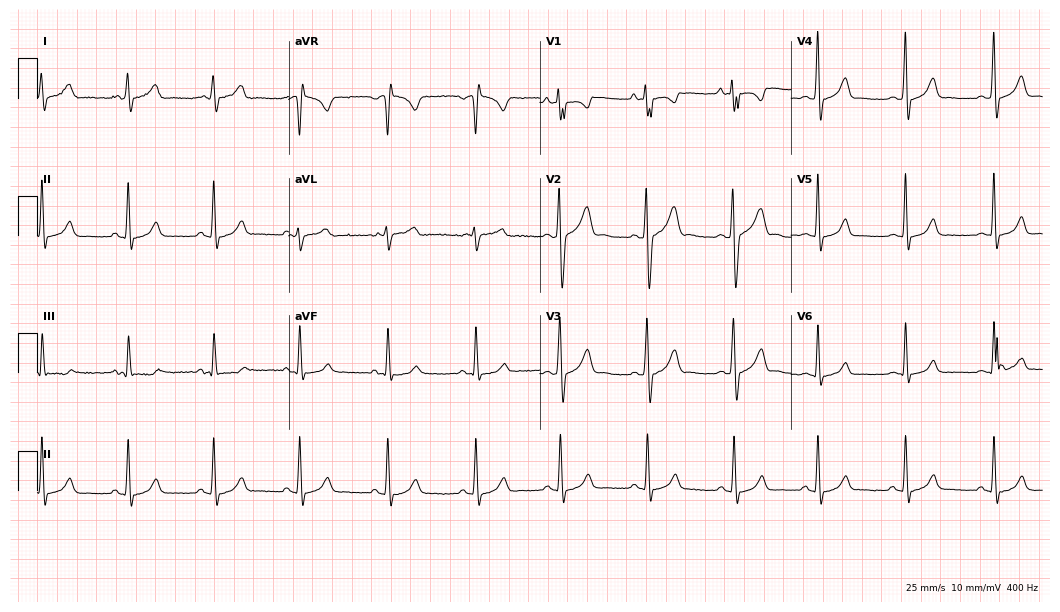
Standard 12-lead ECG recorded from a 32-year-old male. None of these six findings is recorded: first-degree AV block, right bundle branch block, left bundle branch block, sinus bradycardia, atrial fibrillation, sinus tachycardia.